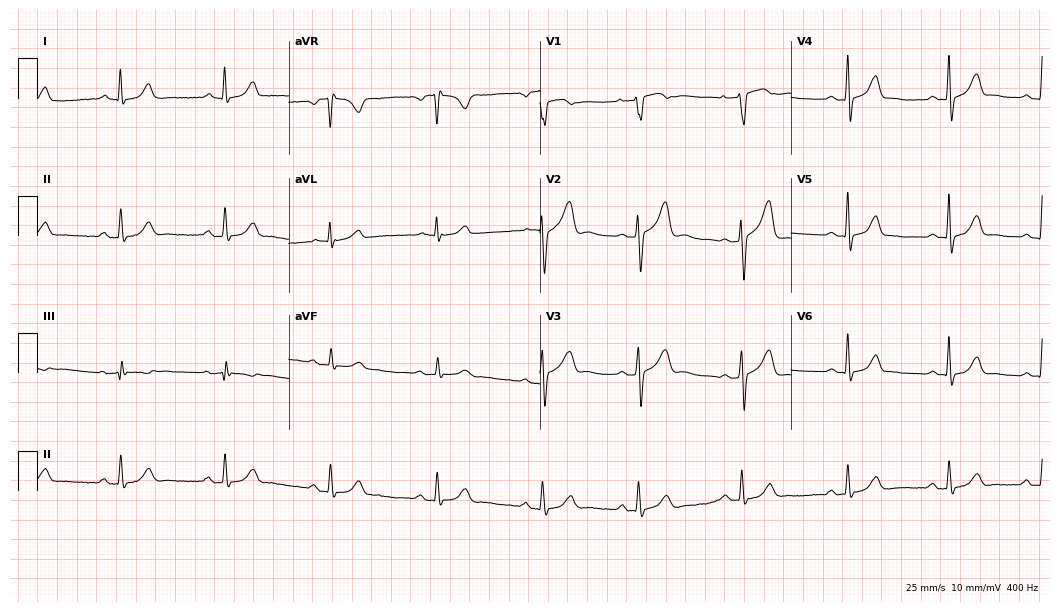
Electrocardiogram (10.2-second recording at 400 Hz), a female, 39 years old. Overall reading on record: normal ECG.